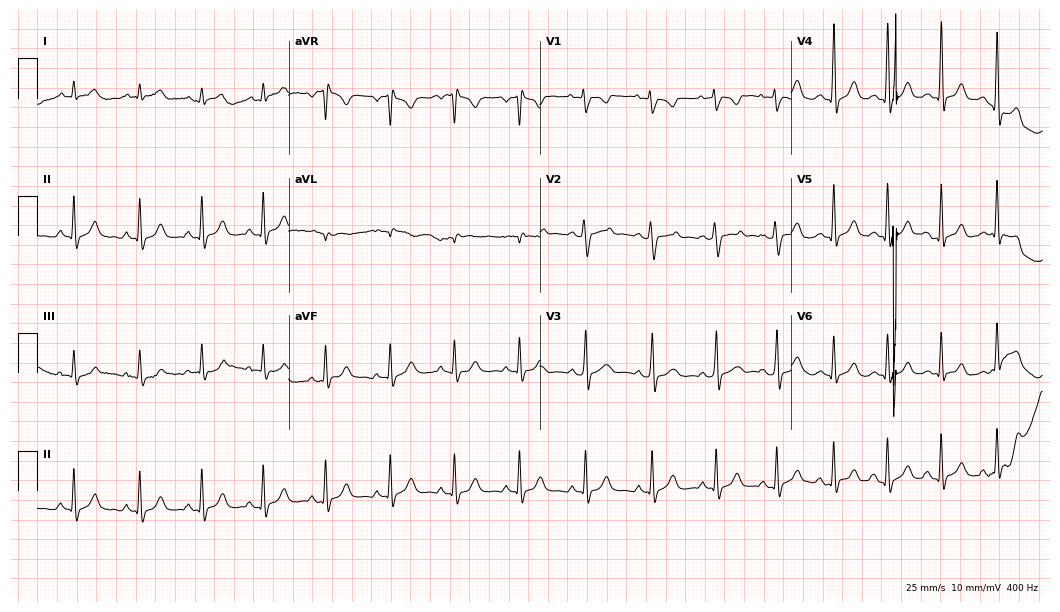
ECG — a 29-year-old male patient. Labelled as a normal ECG.